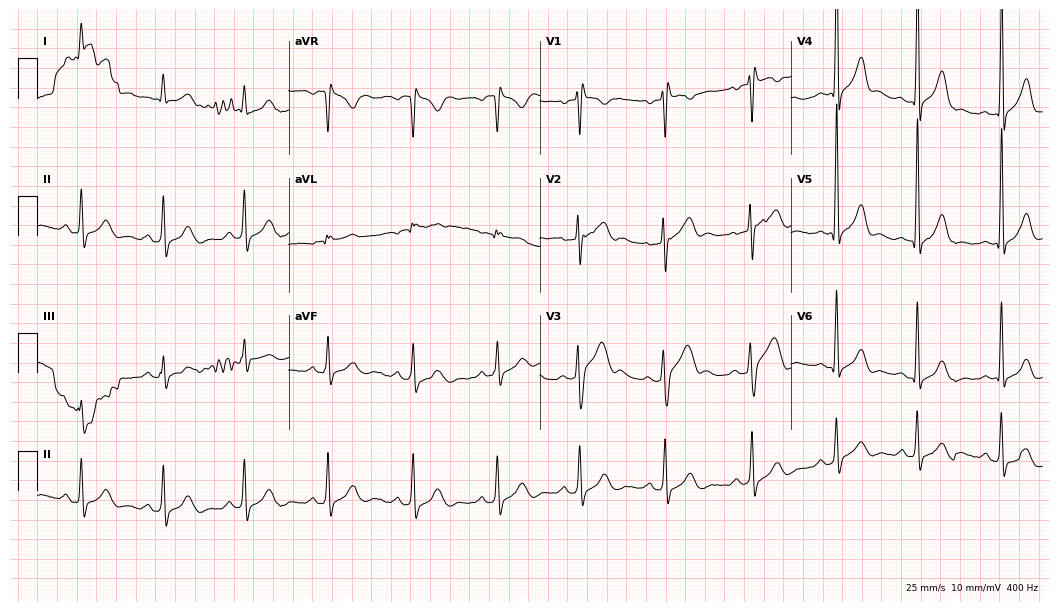
12-lead ECG from a 53-year-old male. Screened for six findings — first-degree AV block, right bundle branch block, left bundle branch block, sinus bradycardia, atrial fibrillation, sinus tachycardia — none is recorded.